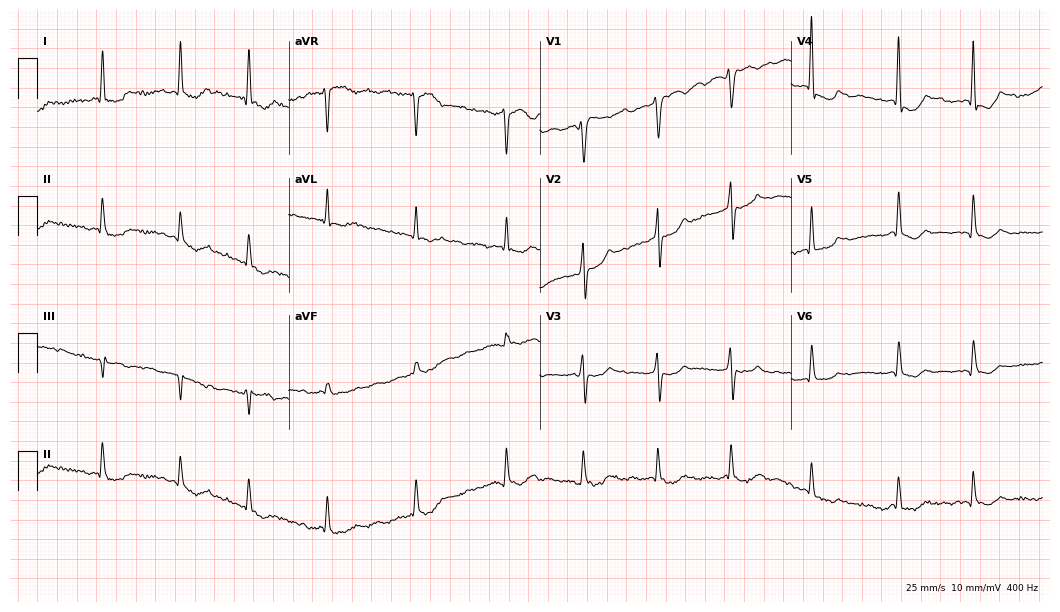
Standard 12-lead ECG recorded from a 69-year-old female (10.2-second recording at 400 Hz). None of these six findings is recorded: first-degree AV block, right bundle branch block (RBBB), left bundle branch block (LBBB), sinus bradycardia, atrial fibrillation (AF), sinus tachycardia.